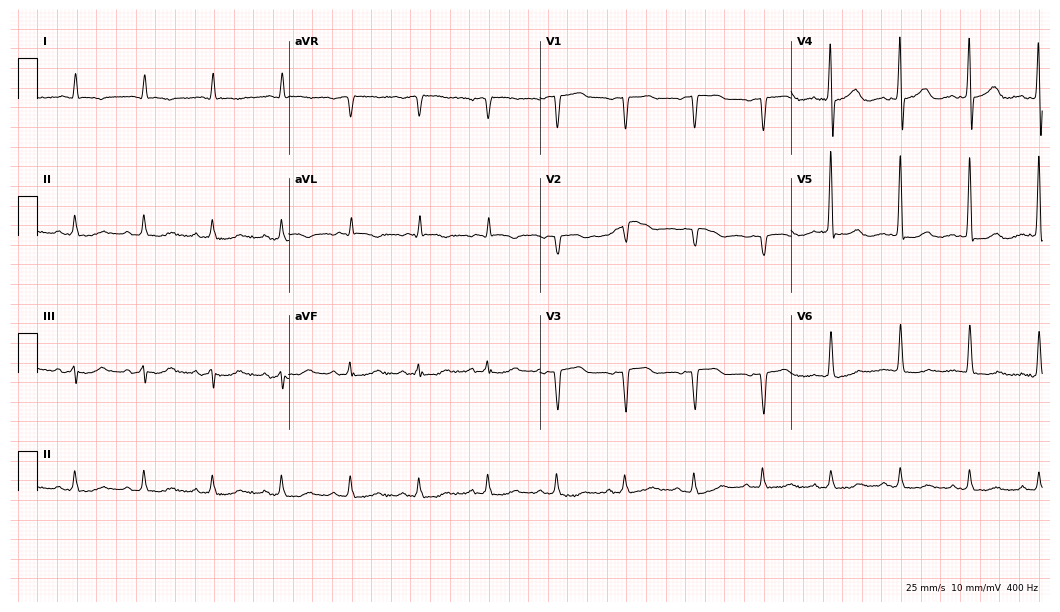
ECG — a 75-year-old man. Screened for six findings — first-degree AV block, right bundle branch block, left bundle branch block, sinus bradycardia, atrial fibrillation, sinus tachycardia — none is recorded.